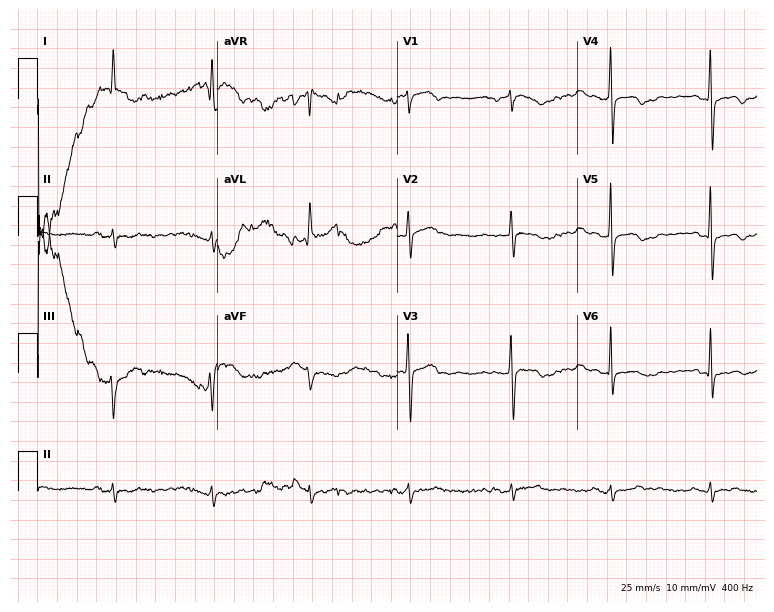
Resting 12-lead electrocardiogram (7.3-second recording at 400 Hz). Patient: a 78-year-old female. None of these six findings is recorded: first-degree AV block, right bundle branch block, left bundle branch block, sinus bradycardia, atrial fibrillation, sinus tachycardia. Findings outside these six are not listed.